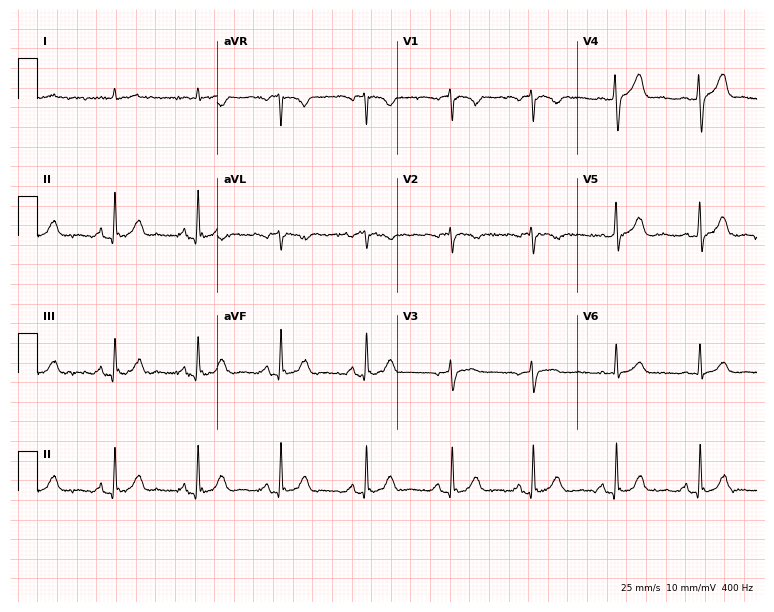
ECG — a man, 65 years old. Labelled as a normal ECG.